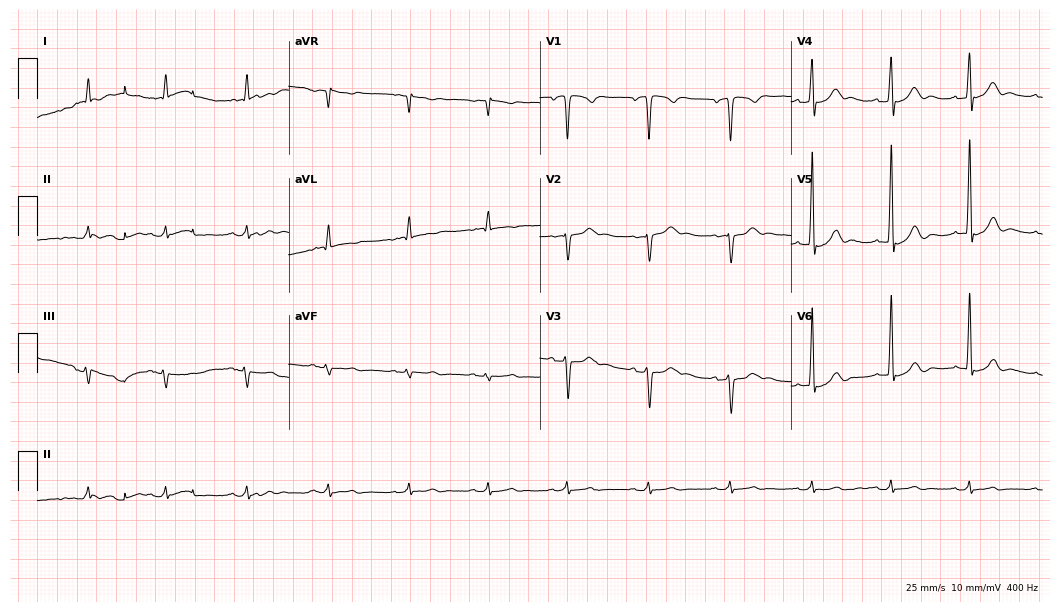
12-lead ECG from a male, 50 years old. No first-degree AV block, right bundle branch block (RBBB), left bundle branch block (LBBB), sinus bradycardia, atrial fibrillation (AF) or sinus tachycardia recorded for this tracing.